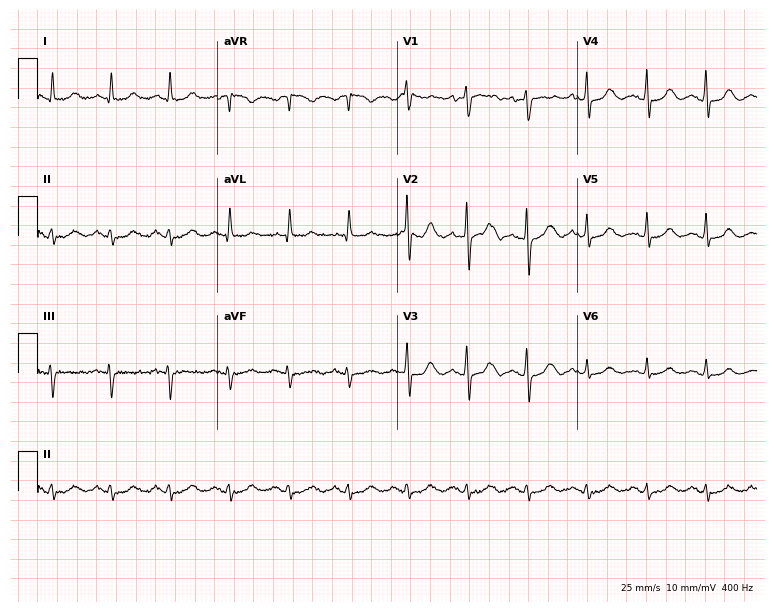
Electrocardiogram, a female patient, 73 years old. Overall reading on record: normal ECG.